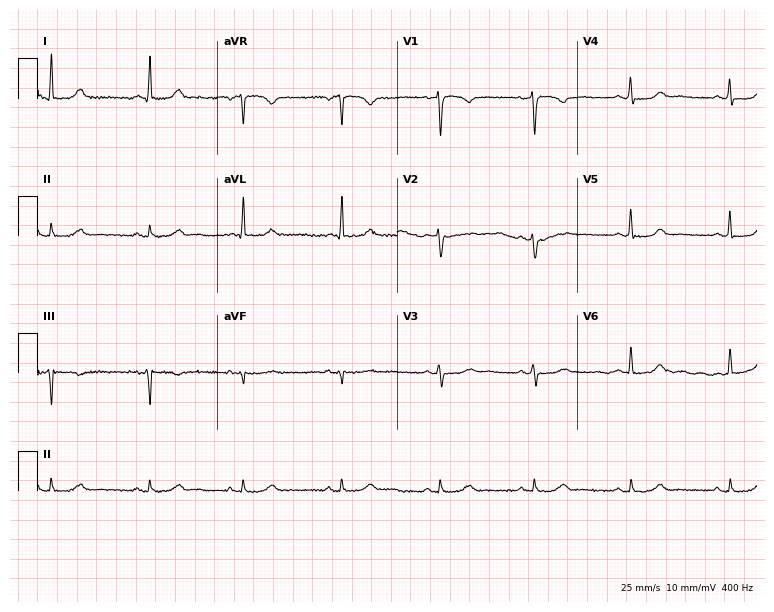
Resting 12-lead electrocardiogram (7.3-second recording at 400 Hz). Patient: a 48-year-old female. None of these six findings is recorded: first-degree AV block, right bundle branch block (RBBB), left bundle branch block (LBBB), sinus bradycardia, atrial fibrillation (AF), sinus tachycardia.